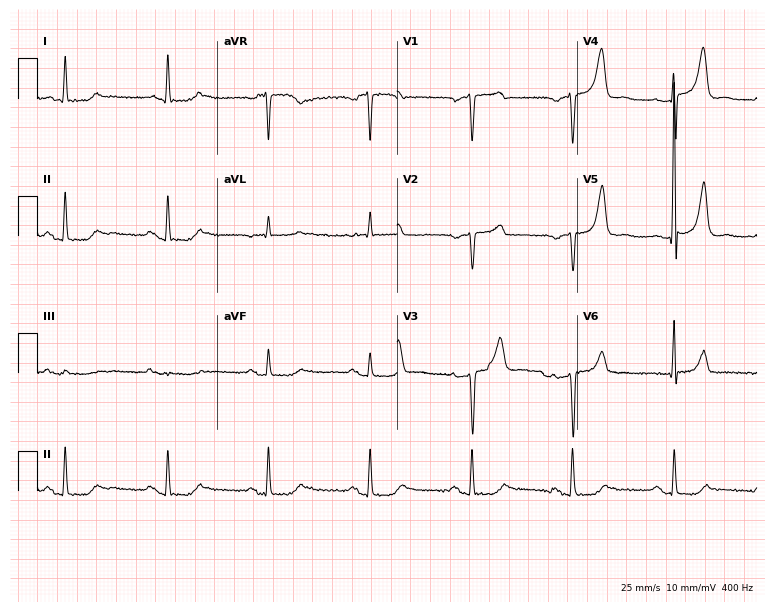
Standard 12-lead ECG recorded from a man, 74 years old (7.3-second recording at 400 Hz). None of these six findings is recorded: first-degree AV block, right bundle branch block, left bundle branch block, sinus bradycardia, atrial fibrillation, sinus tachycardia.